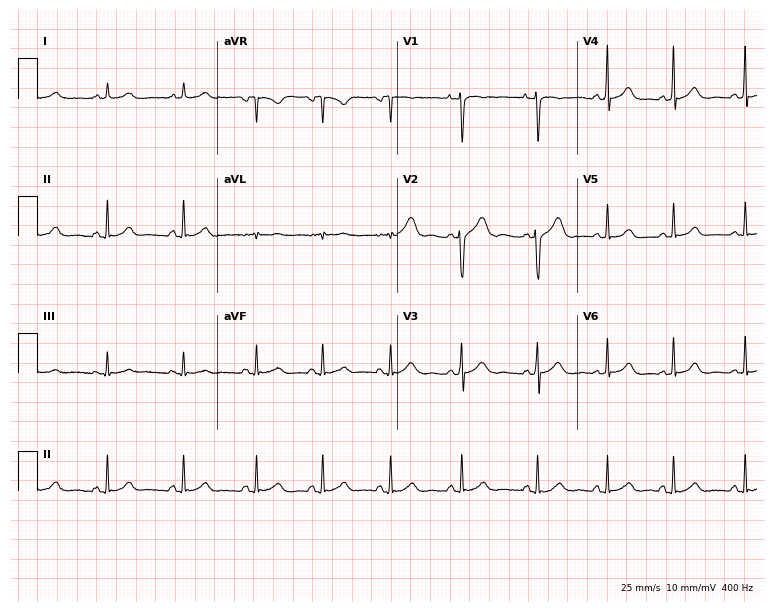
Standard 12-lead ECG recorded from a female, 20 years old. Read as a normal ECG.